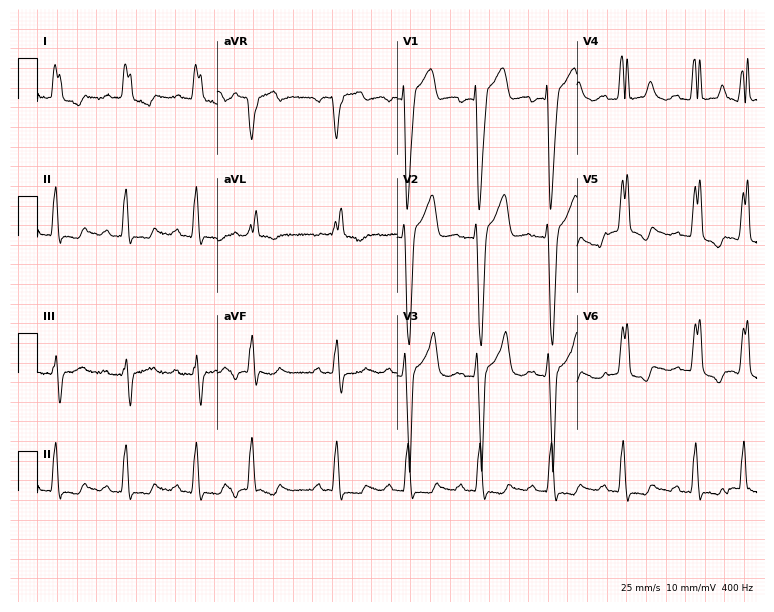
12-lead ECG from a 73-year-old female. Shows left bundle branch block.